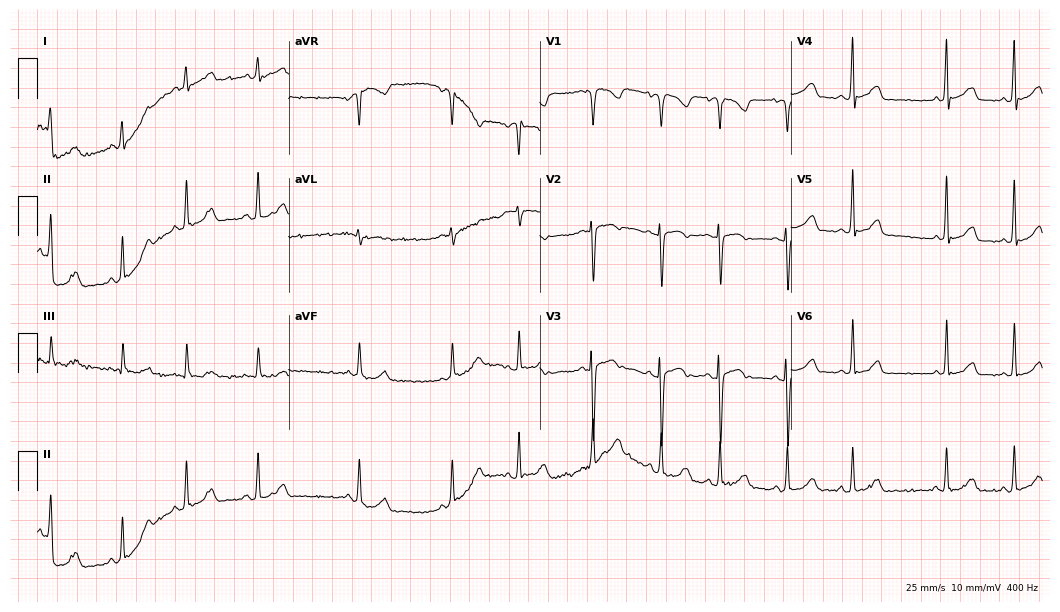
Resting 12-lead electrocardiogram. Patient: a woman, 66 years old. Read as a normal ECG.